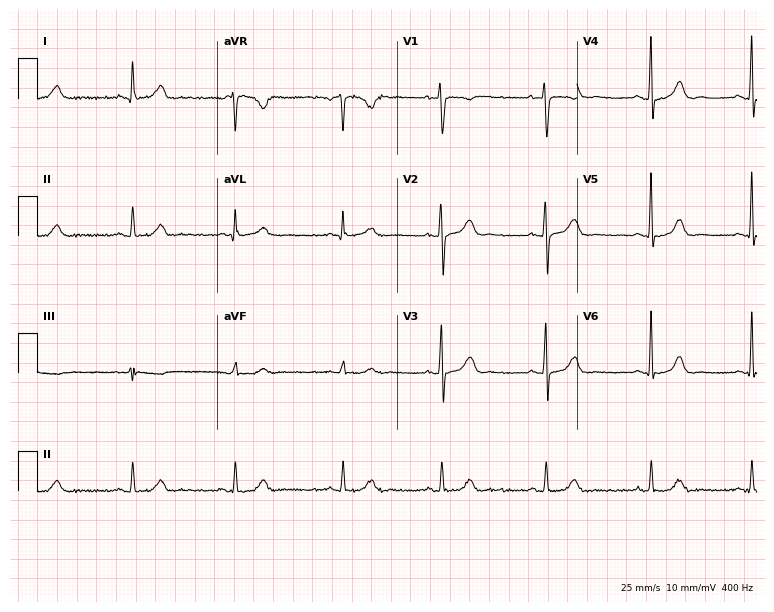
Standard 12-lead ECG recorded from a female patient, 36 years old. Read as a normal ECG.